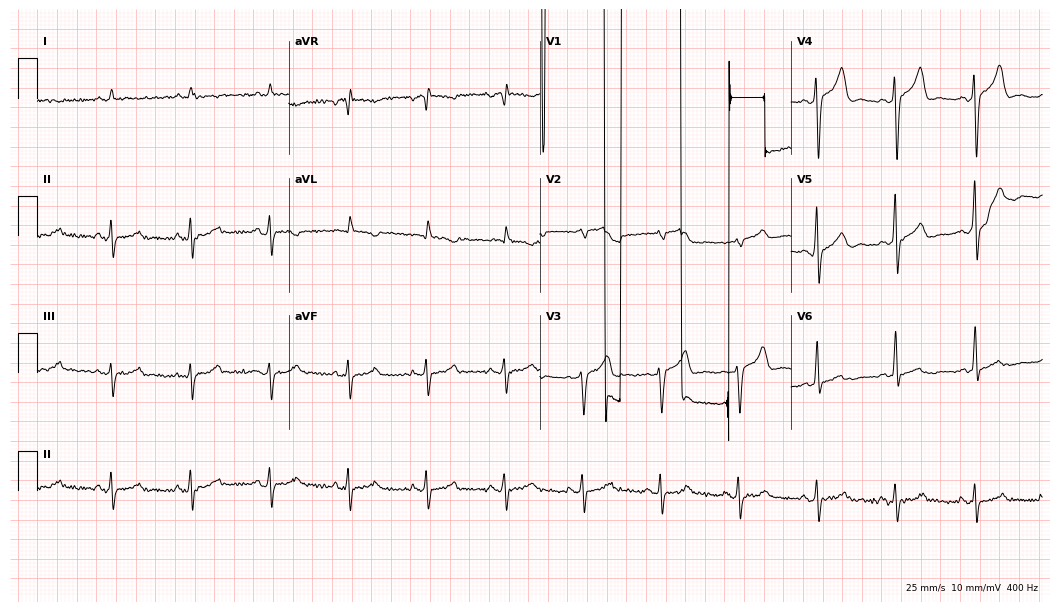
Standard 12-lead ECG recorded from a 74-year-old male. None of these six findings is recorded: first-degree AV block, right bundle branch block (RBBB), left bundle branch block (LBBB), sinus bradycardia, atrial fibrillation (AF), sinus tachycardia. Other findings, if any, are not listed.